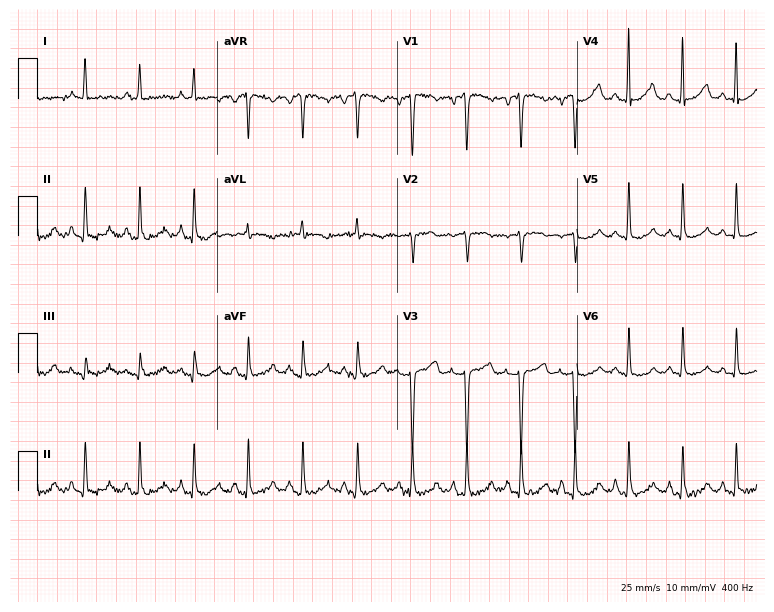
12-lead ECG (7.3-second recording at 400 Hz) from a woman, 78 years old. Findings include sinus tachycardia (a sinus rate of 100 beats per minute or more).